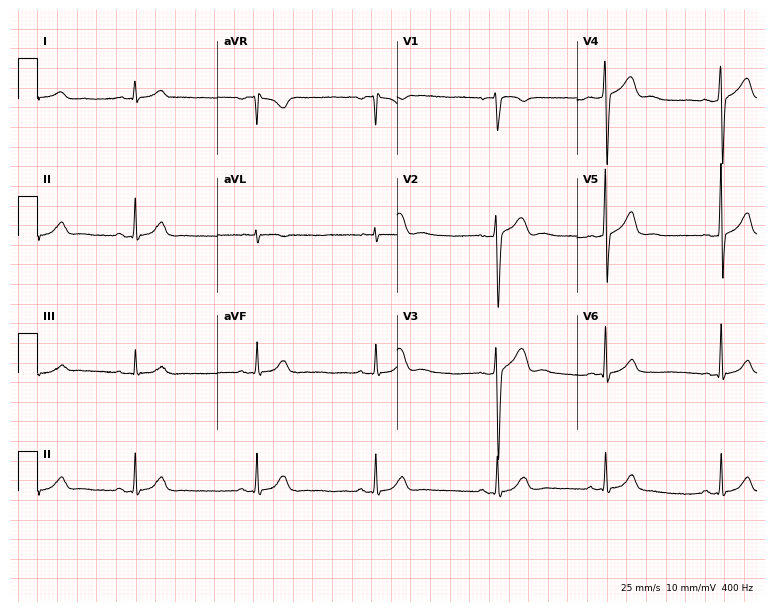
ECG (7.3-second recording at 400 Hz) — a male, 26 years old. Screened for six findings — first-degree AV block, right bundle branch block (RBBB), left bundle branch block (LBBB), sinus bradycardia, atrial fibrillation (AF), sinus tachycardia — none is recorded.